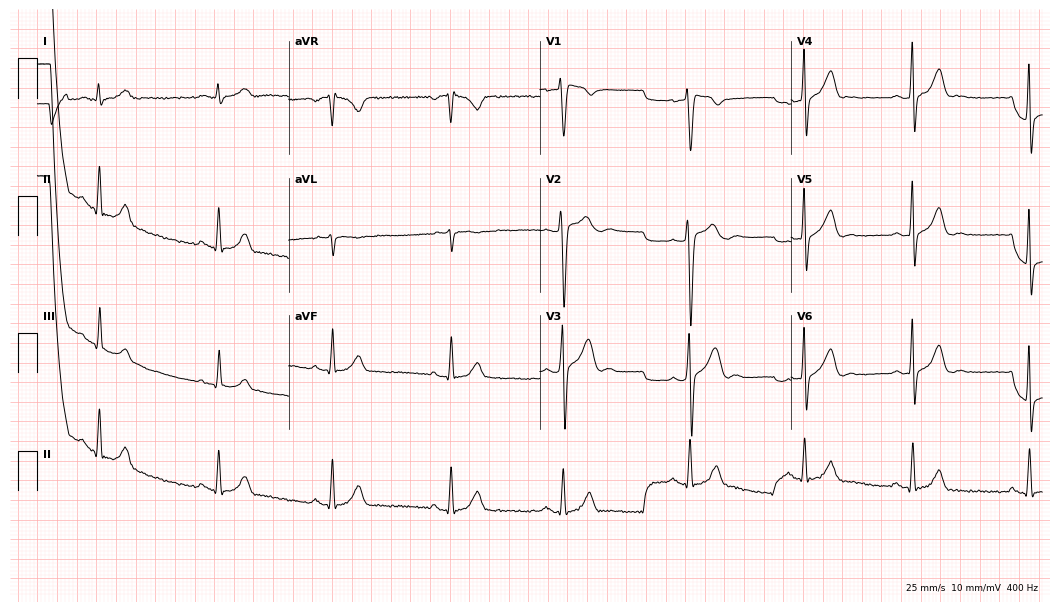
Resting 12-lead electrocardiogram. Patient: a man, 25 years old. Read as a normal ECG.